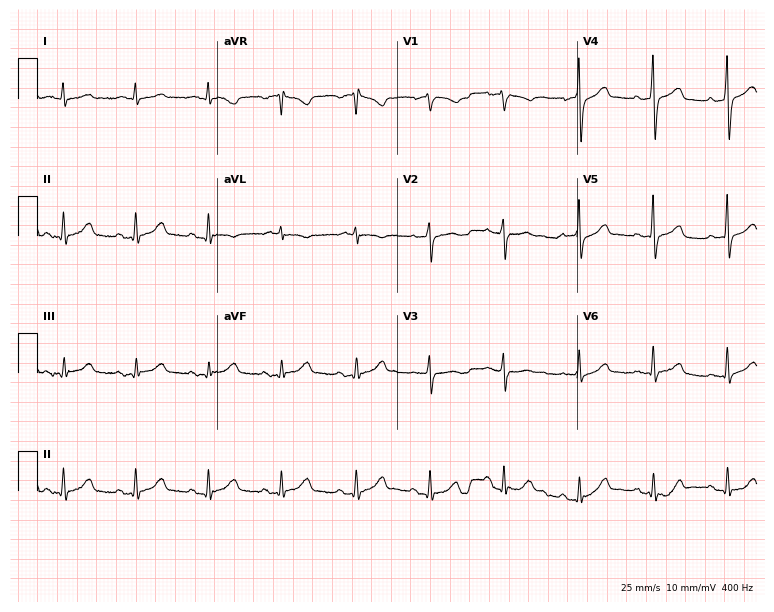
Resting 12-lead electrocardiogram (7.3-second recording at 400 Hz). Patient: a 70-year-old man. Read as a normal ECG.